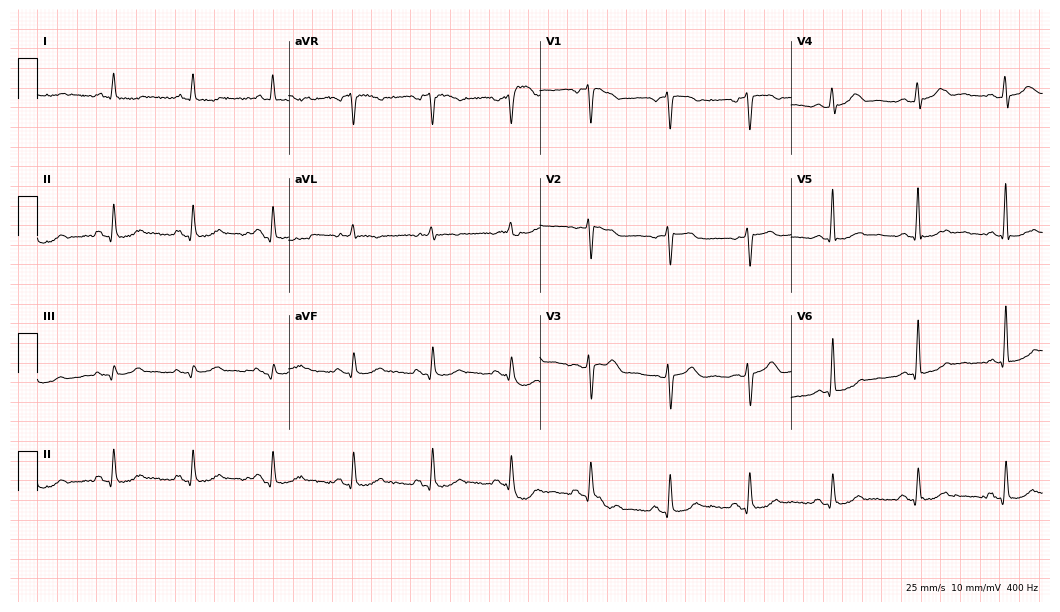
Electrocardiogram, a male patient, 63 years old. Of the six screened findings (first-degree AV block, right bundle branch block (RBBB), left bundle branch block (LBBB), sinus bradycardia, atrial fibrillation (AF), sinus tachycardia), none is recorded. Findings outside these six are not listed.